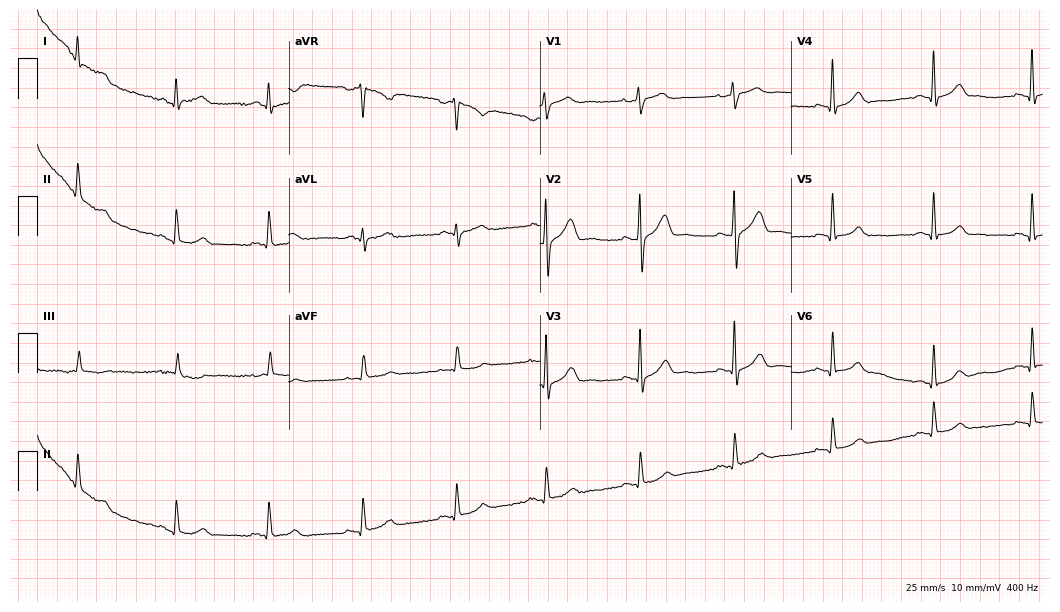
Standard 12-lead ECG recorded from a man, 52 years old. None of these six findings is recorded: first-degree AV block, right bundle branch block, left bundle branch block, sinus bradycardia, atrial fibrillation, sinus tachycardia.